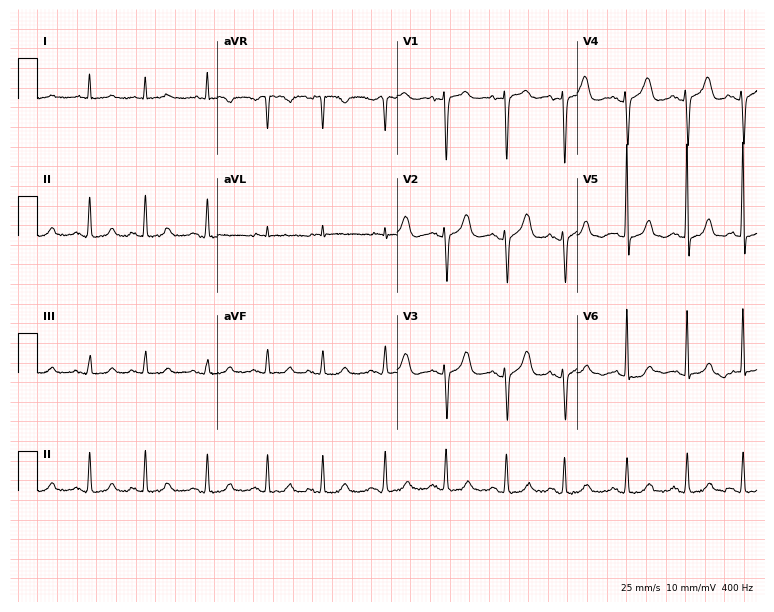
12-lead ECG from a female patient, 85 years old. Screened for six findings — first-degree AV block, right bundle branch block (RBBB), left bundle branch block (LBBB), sinus bradycardia, atrial fibrillation (AF), sinus tachycardia — none is recorded.